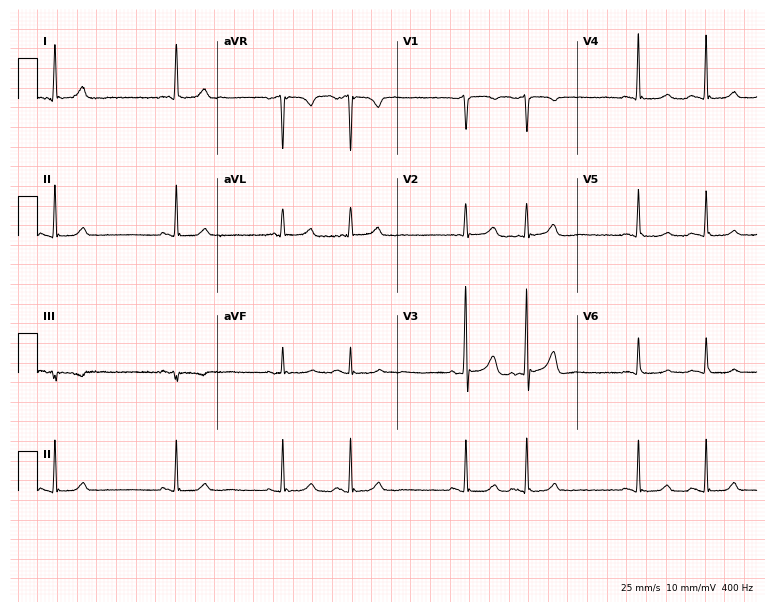
12-lead ECG from a female patient, 84 years old. Screened for six findings — first-degree AV block, right bundle branch block, left bundle branch block, sinus bradycardia, atrial fibrillation, sinus tachycardia — none is recorded.